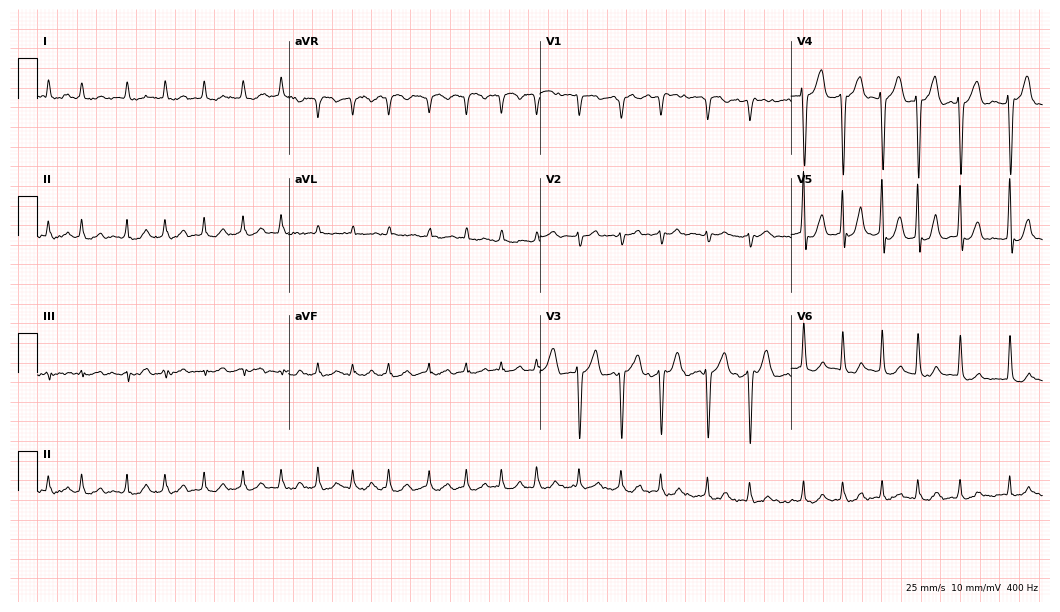
ECG (10.2-second recording at 400 Hz) — a 73-year-old male patient. Findings include atrial fibrillation.